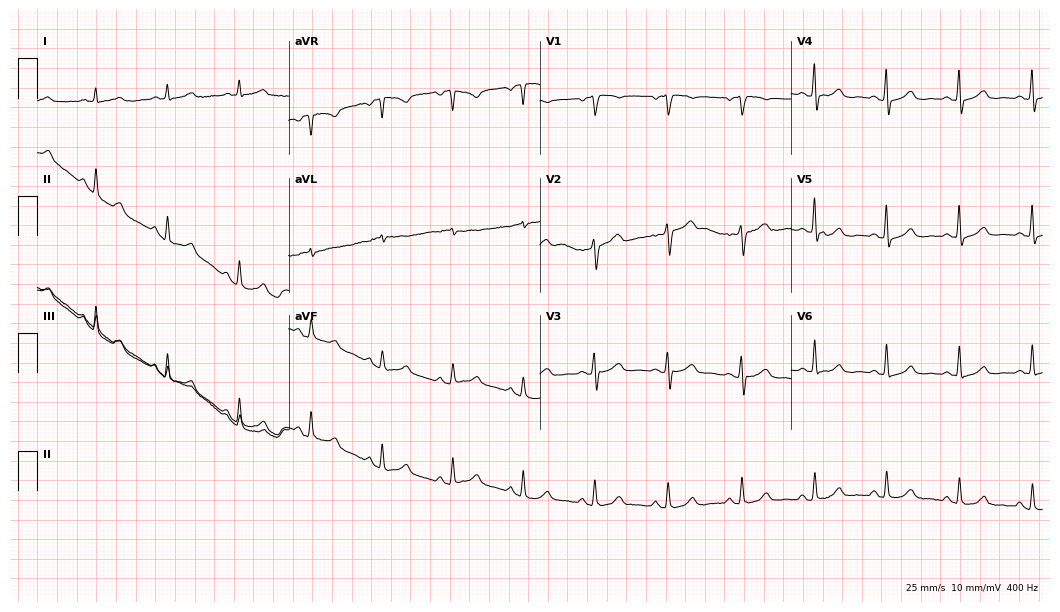
Standard 12-lead ECG recorded from a female patient, 59 years old (10.2-second recording at 400 Hz). Read as a normal ECG.